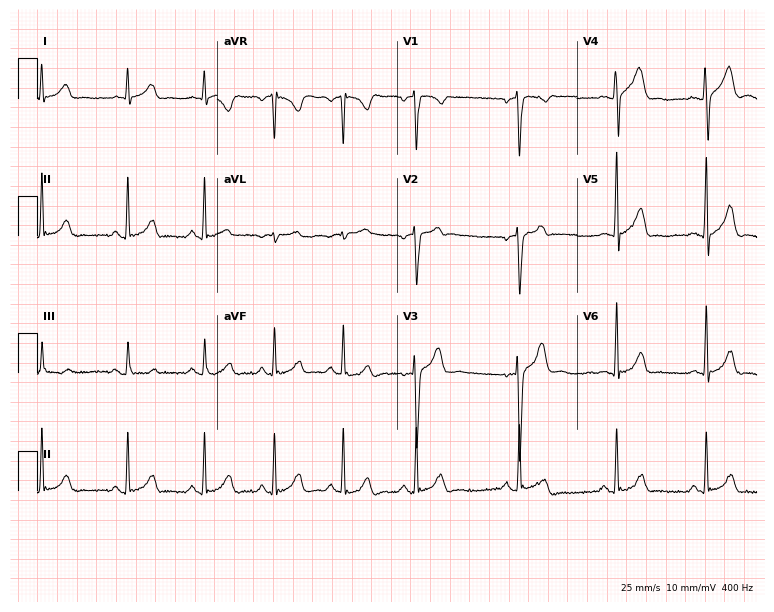
12-lead ECG from a 22-year-old man. Recorded interpretation: within normal limits.